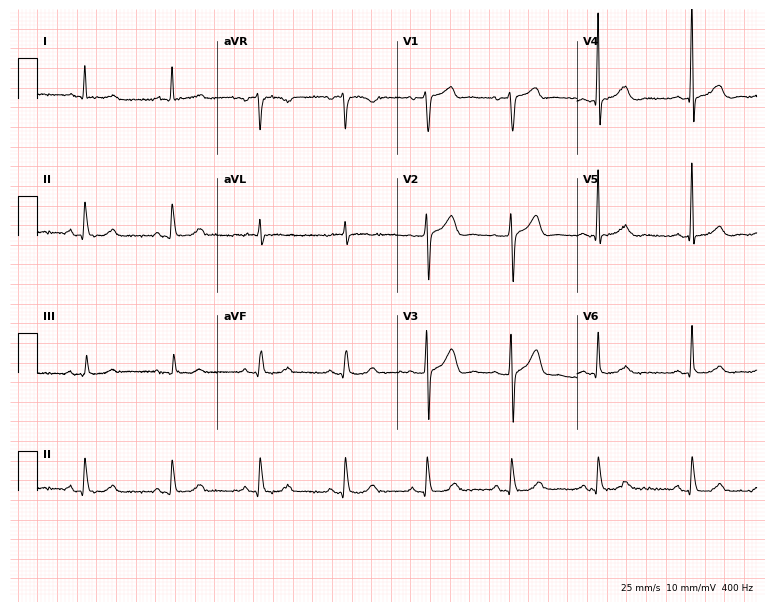
Electrocardiogram, a male patient, 72 years old. Overall reading on record: normal ECG.